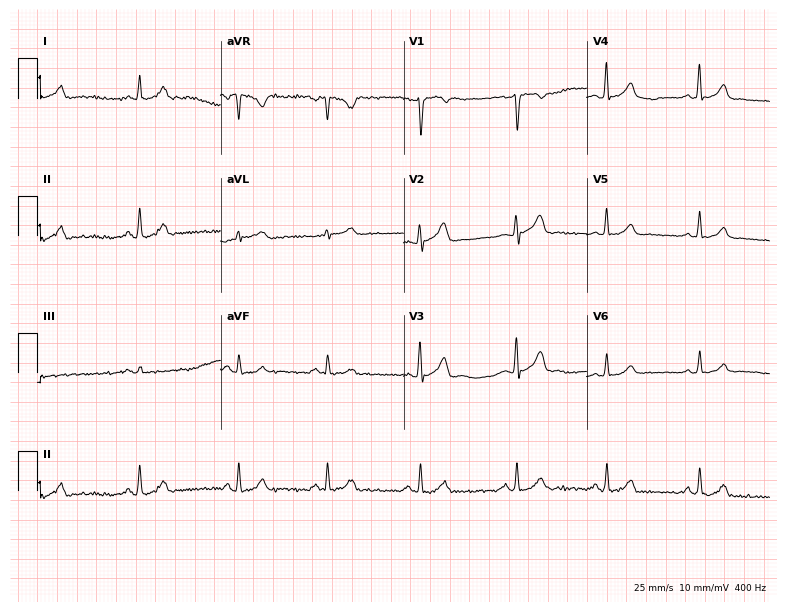
12-lead ECG (7.5-second recording at 400 Hz) from a 22-year-old male. Labelled as a normal ECG.